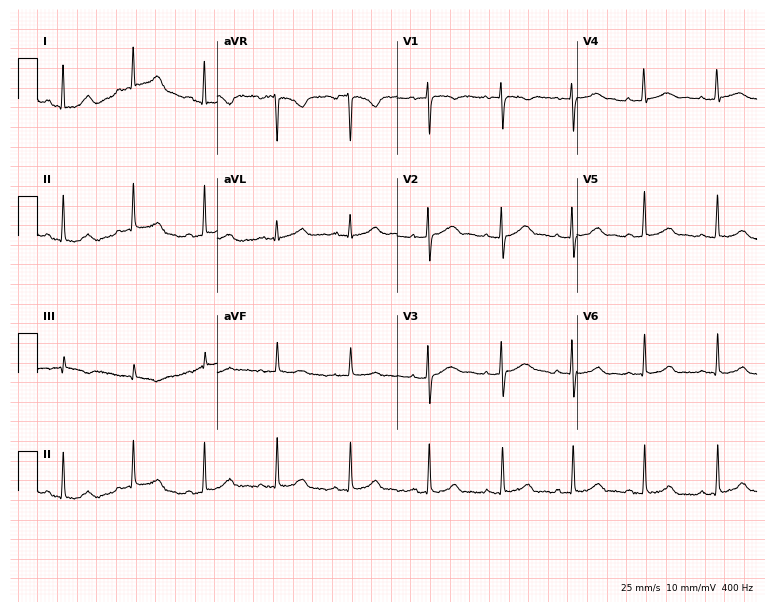
Resting 12-lead electrocardiogram. Patient: a female, 29 years old. Read as a normal ECG.